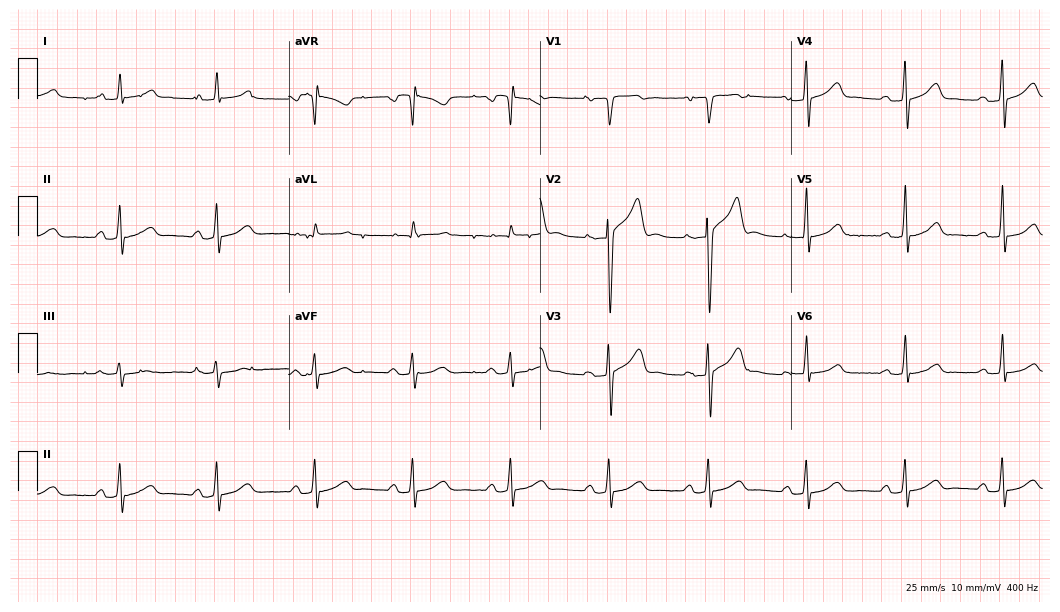
12-lead ECG from a 47-year-old man. No first-degree AV block, right bundle branch block, left bundle branch block, sinus bradycardia, atrial fibrillation or sinus tachycardia recorded for this tracing.